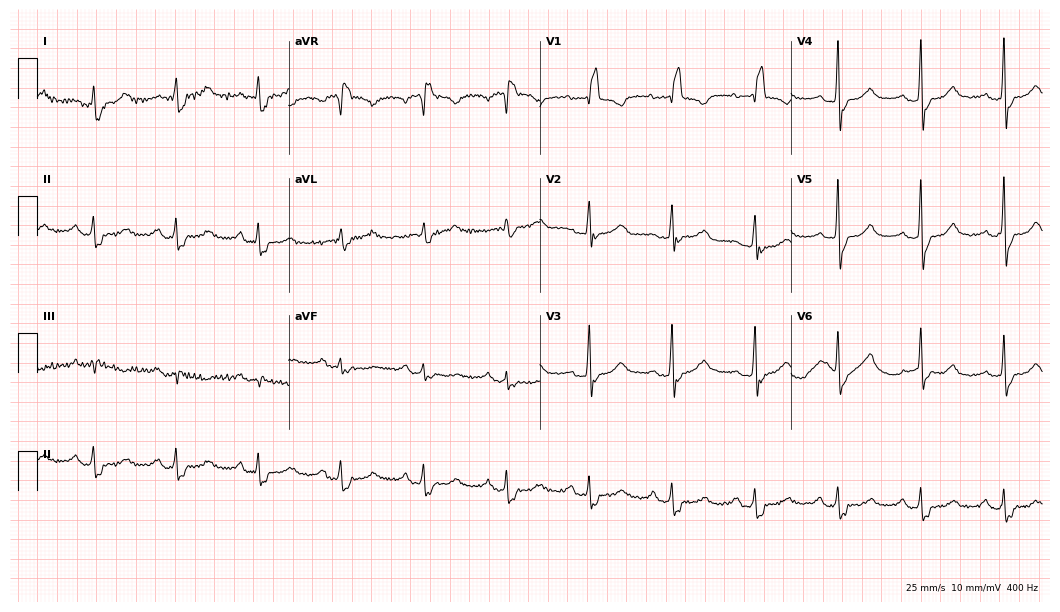
Electrocardiogram, a woman, 64 years old. Of the six screened findings (first-degree AV block, right bundle branch block (RBBB), left bundle branch block (LBBB), sinus bradycardia, atrial fibrillation (AF), sinus tachycardia), none is recorded.